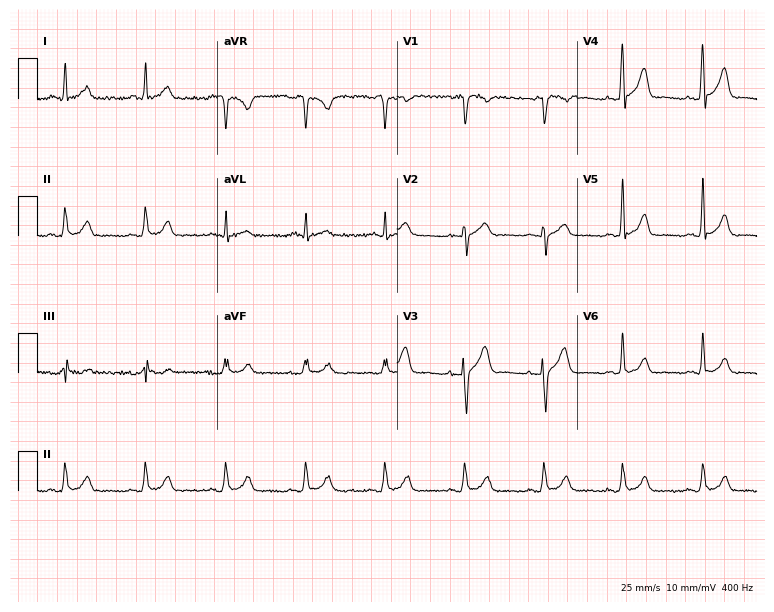
Resting 12-lead electrocardiogram. Patient: a 50-year-old male. Read as a normal ECG.